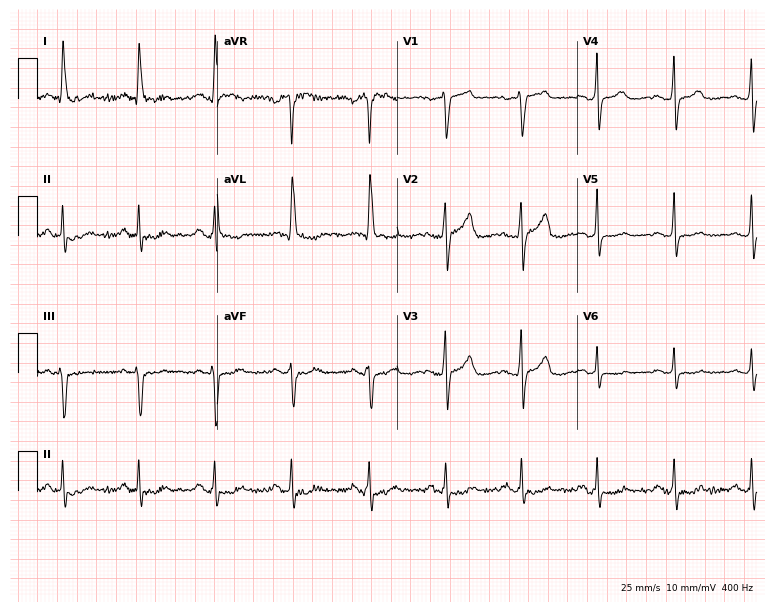
Electrocardiogram, a woman, 53 years old. Of the six screened findings (first-degree AV block, right bundle branch block, left bundle branch block, sinus bradycardia, atrial fibrillation, sinus tachycardia), none is recorded. Other findings, if any, are not listed.